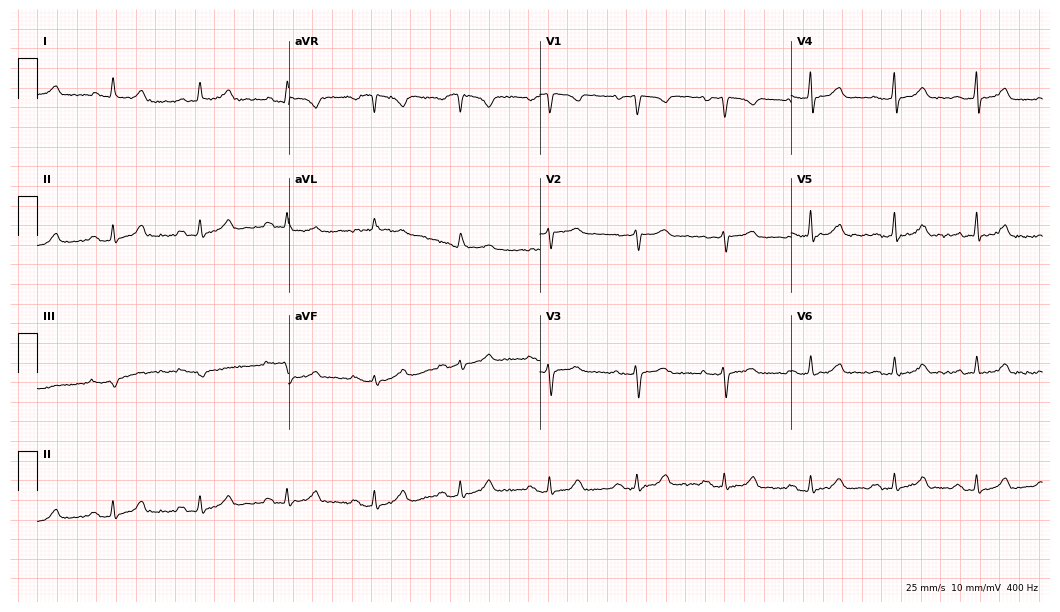
Standard 12-lead ECG recorded from a woman, 83 years old. Read as a normal ECG.